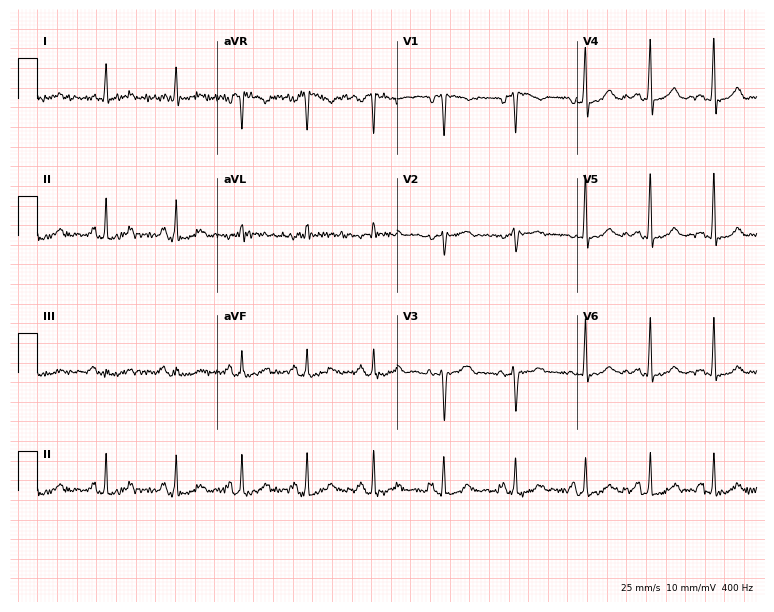
12-lead ECG from a 48-year-old male. Screened for six findings — first-degree AV block, right bundle branch block, left bundle branch block, sinus bradycardia, atrial fibrillation, sinus tachycardia — none is recorded. Only these six findings were labelled.